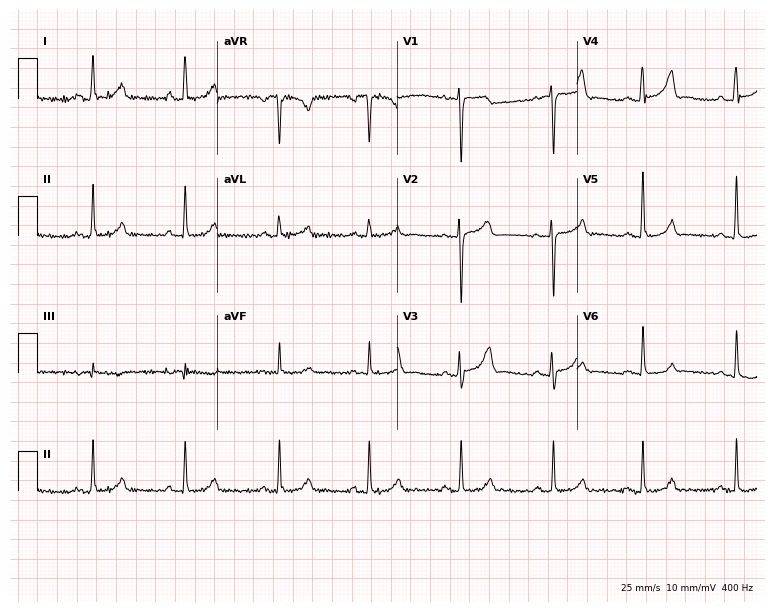
Standard 12-lead ECG recorded from a female, 42 years old. Read as a normal ECG.